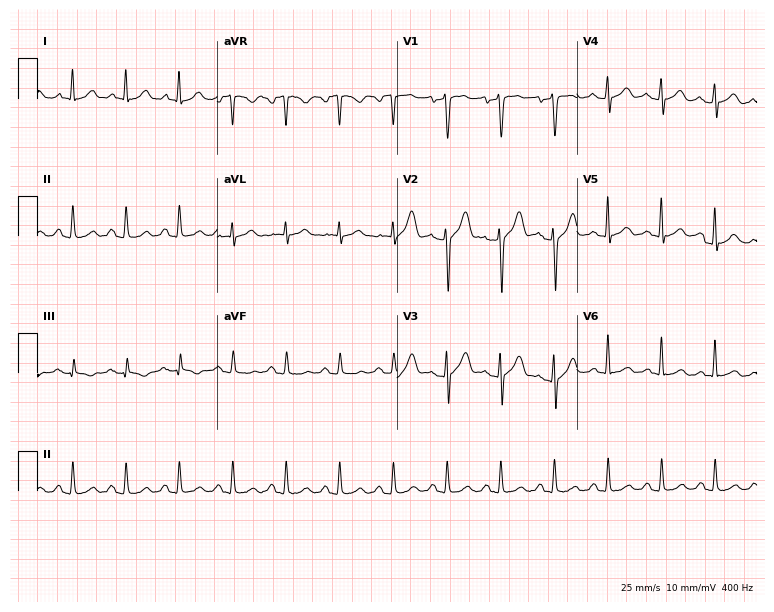
Electrocardiogram, a male, 36 years old. Interpretation includes sinus tachycardia (a sinus rate of 100 beats per minute or more).